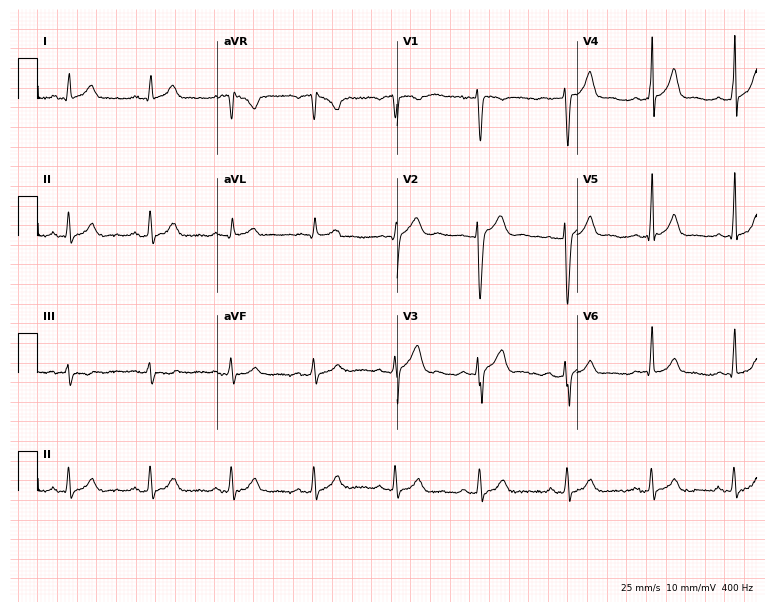
ECG — a man, 28 years old. Screened for six findings — first-degree AV block, right bundle branch block, left bundle branch block, sinus bradycardia, atrial fibrillation, sinus tachycardia — none is recorded. Findings outside these six are not listed.